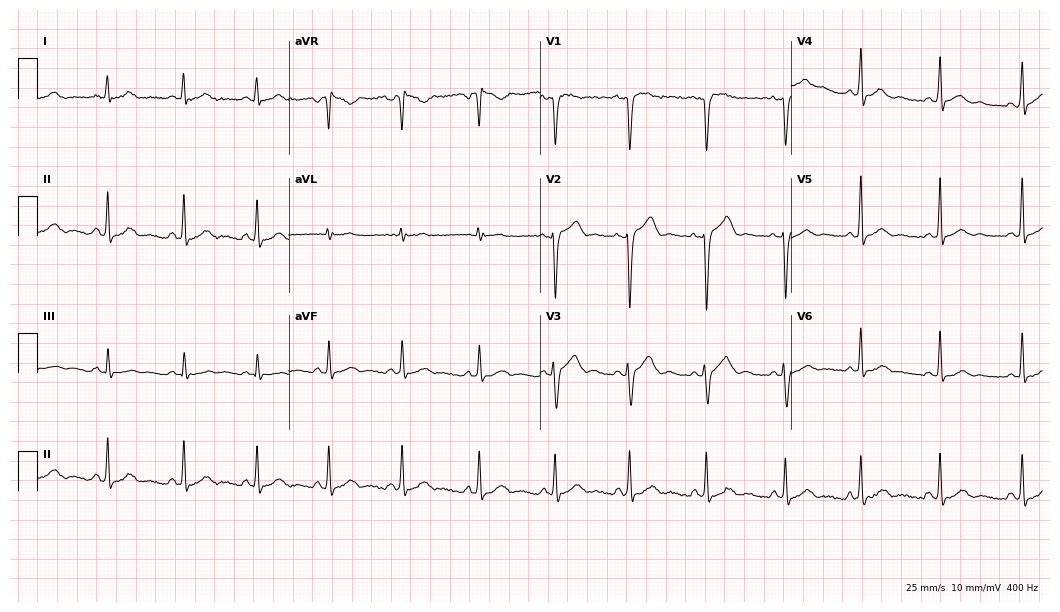
12-lead ECG from a 24-year-old male patient (10.2-second recording at 400 Hz). Recorded interpretation: within normal limits.